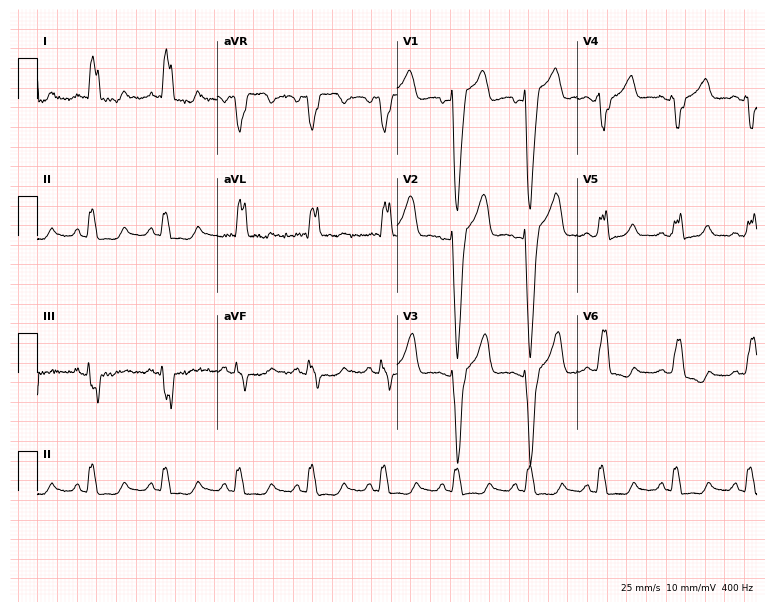
12-lead ECG (7.3-second recording at 400 Hz) from a 50-year-old female. Findings include left bundle branch block.